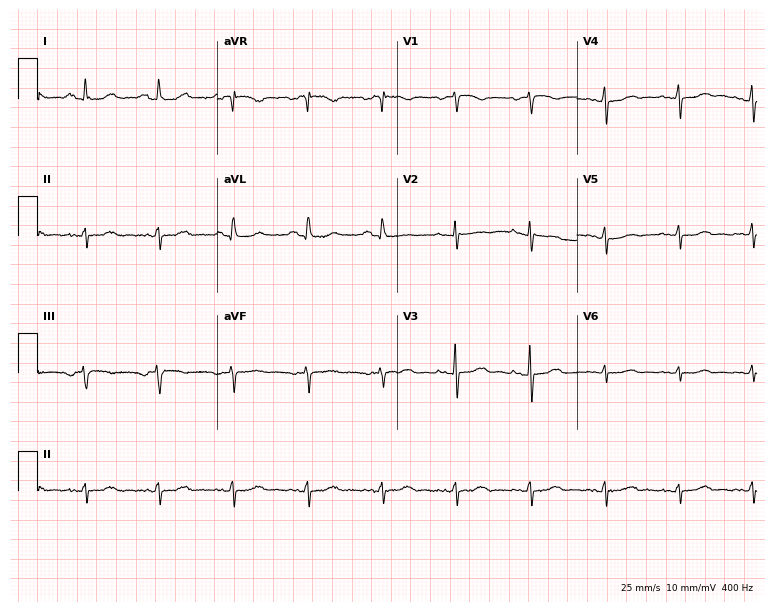
Standard 12-lead ECG recorded from a woman, 72 years old (7.3-second recording at 400 Hz). None of these six findings is recorded: first-degree AV block, right bundle branch block (RBBB), left bundle branch block (LBBB), sinus bradycardia, atrial fibrillation (AF), sinus tachycardia. Only these six findings were labelled.